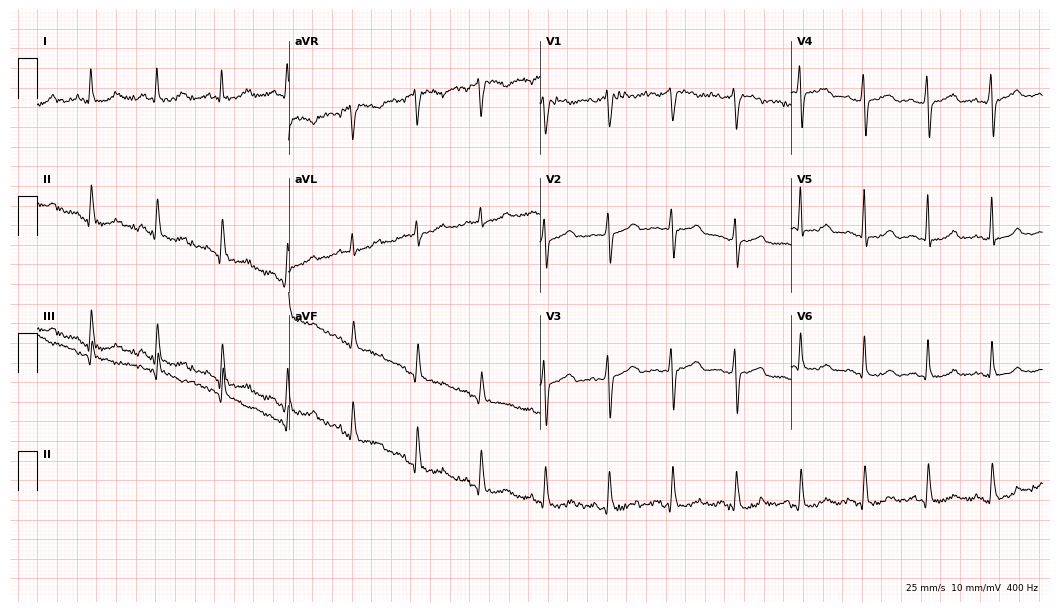
ECG — a female, 35 years old. Screened for six findings — first-degree AV block, right bundle branch block, left bundle branch block, sinus bradycardia, atrial fibrillation, sinus tachycardia — none is recorded.